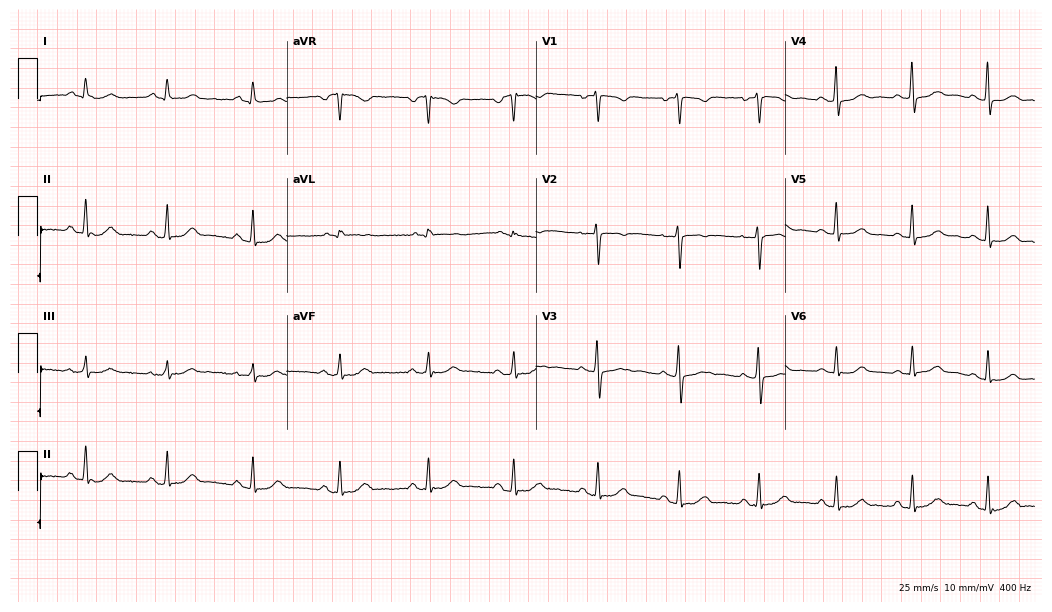
12-lead ECG from a female patient, 64 years old (10.2-second recording at 400 Hz). Recorded interpretation: within normal limits.